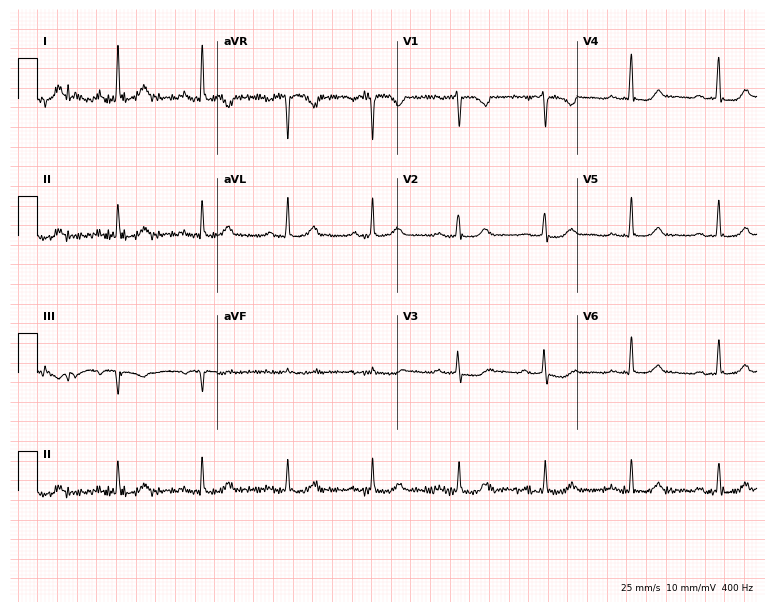
Standard 12-lead ECG recorded from a 65-year-old female. None of these six findings is recorded: first-degree AV block, right bundle branch block (RBBB), left bundle branch block (LBBB), sinus bradycardia, atrial fibrillation (AF), sinus tachycardia. Findings outside these six are not listed.